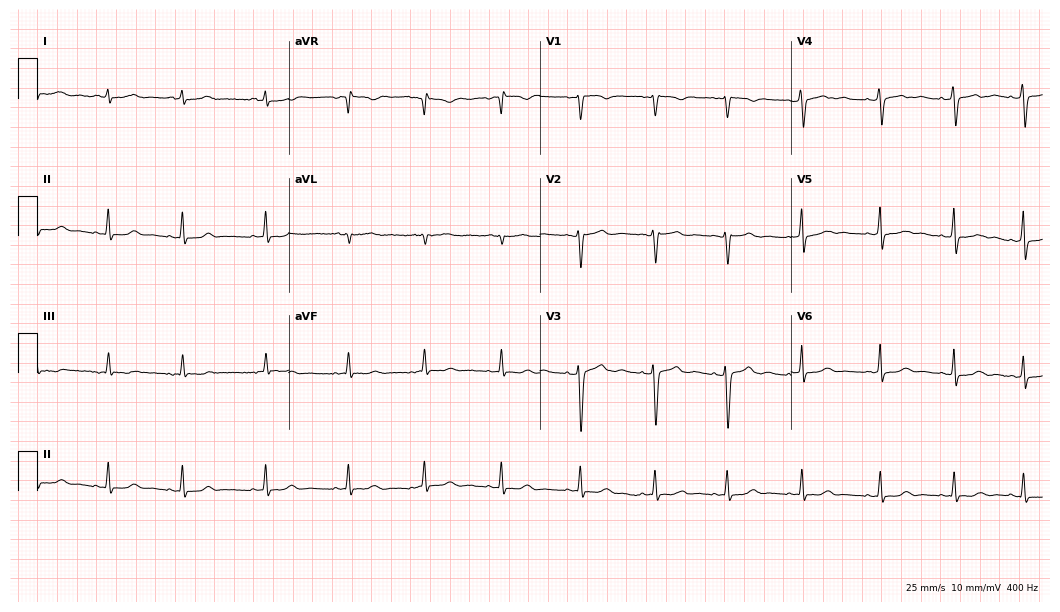
Resting 12-lead electrocardiogram. Patient: a 27-year-old female. Read as a normal ECG.